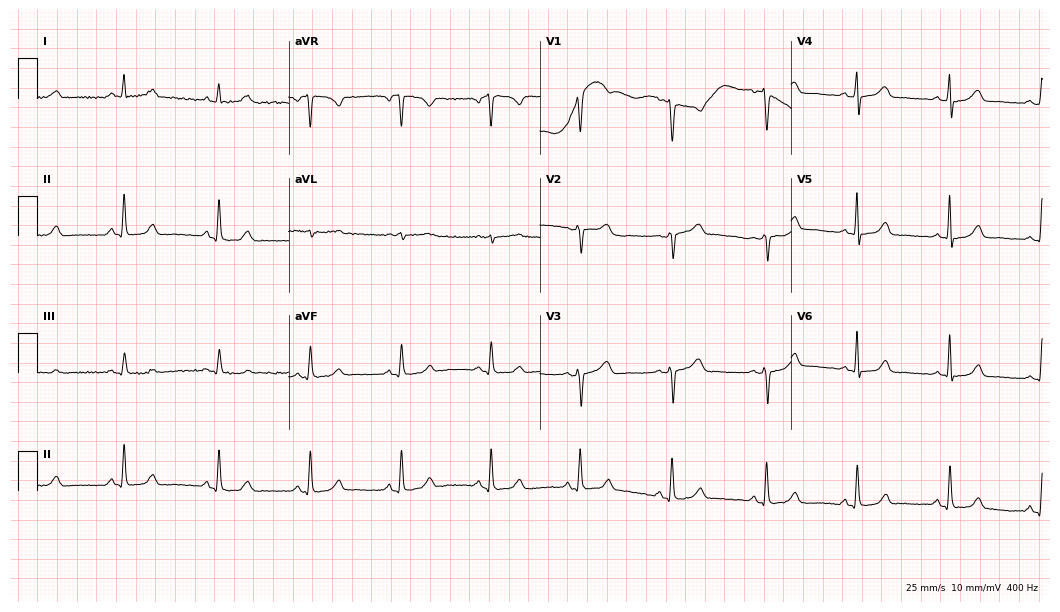
Resting 12-lead electrocardiogram (10.2-second recording at 400 Hz). Patient: a female, 47 years old. Read as a normal ECG.